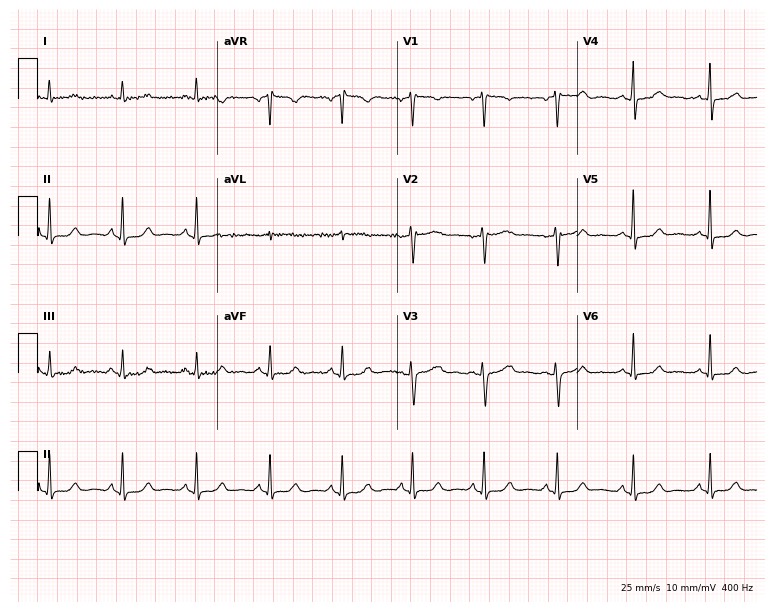
Electrocardiogram (7.3-second recording at 400 Hz), a 58-year-old woman. Overall reading on record: normal ECG.